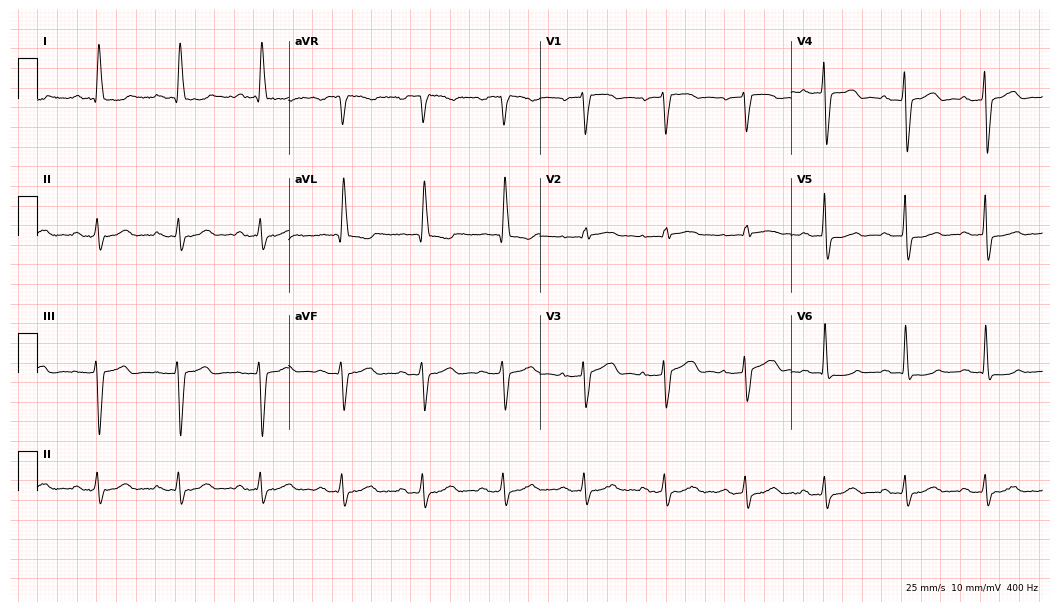
Electrocardiogram (10.2-second recording at 400 Hz), an 84-year-old male patient. Interpretation includes first-degree AV block.